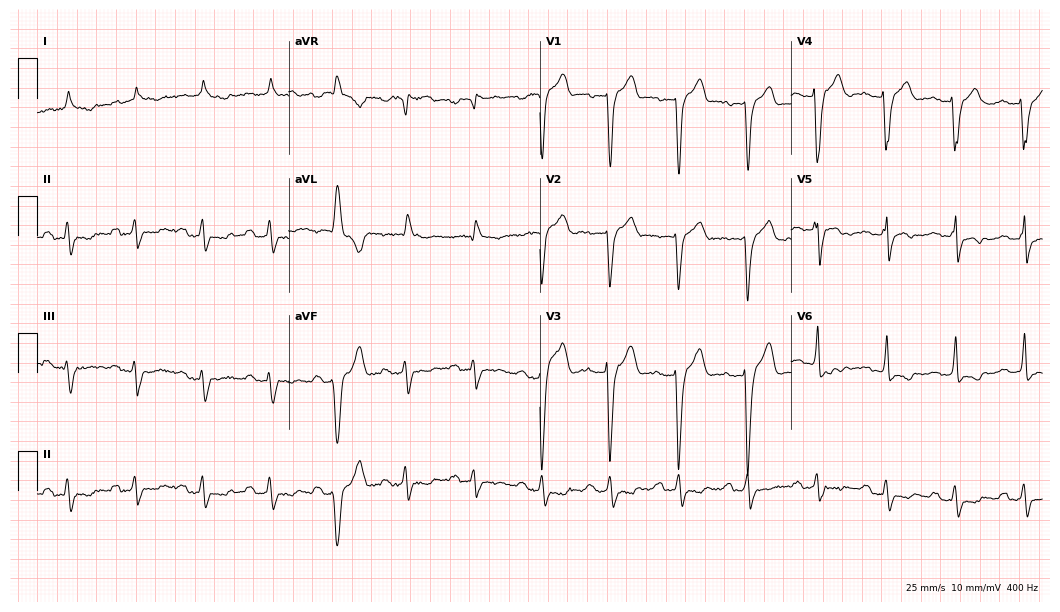
12-lead ECG from a male, 74 years old (10.2-second recording at 400 Hz). Shows first-degree AV block, left bundle branch block.